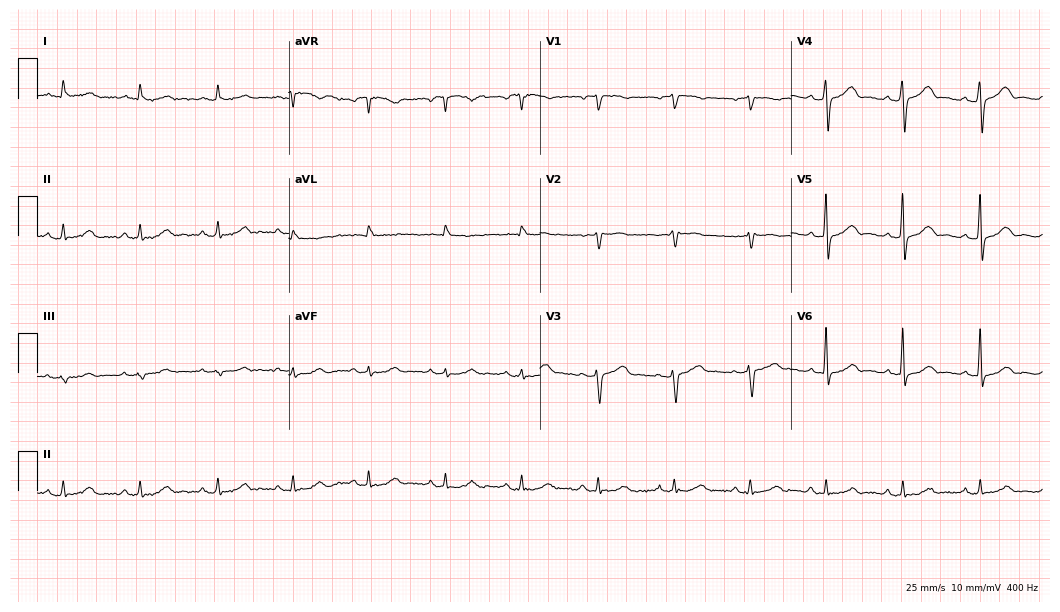
12-lead ECG (10.2-second recording at 400 Hz) from a 69-year-old male patient. Screened for six findings — first-degree AV block, right bundle branch block, left bundle branch block, sinus bradycardia, atrial fibrillation, sinus tachycardia — none is recorded. Only these six findings were labelled.